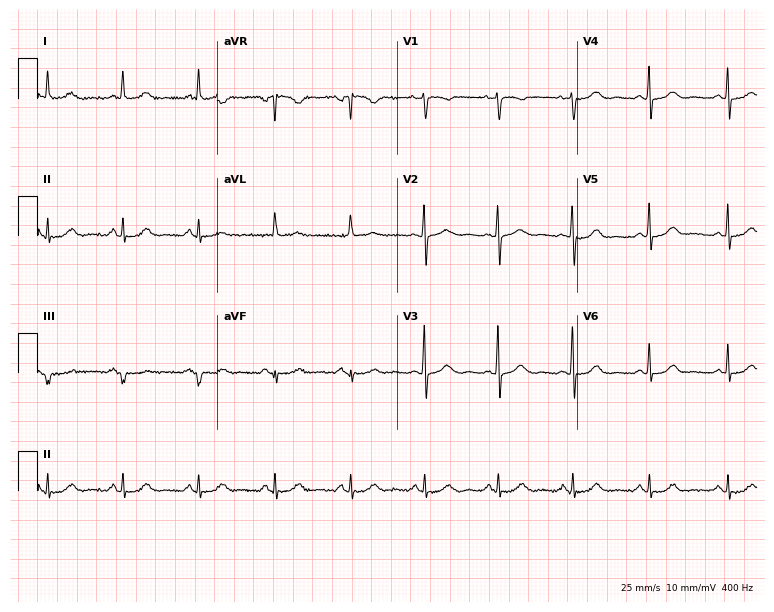
12-lead ECG from a female, 58 years old (7.3-second recording at 400 Hz). No first-degree AV block, right bundle branch block (RBBB), left bundle branch block (LBBB), sinus bradycardia, atrial fibrillation (AF) or sinus tachycardia recorded for this tracing.